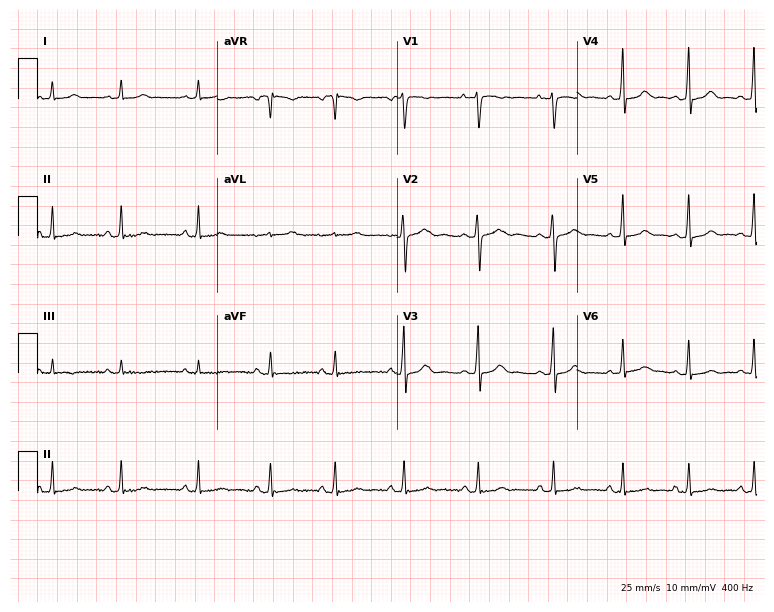
Resting 12-lead electrocardiogram. Patient: a 20-year-old woman. None of these six findings is recorded: first-degree AV block, right bundle branch block (RBBB), left bundle branch block (LBBB), sinus bradycardia, atrial fibrillation (AF), sinus tachycardia.